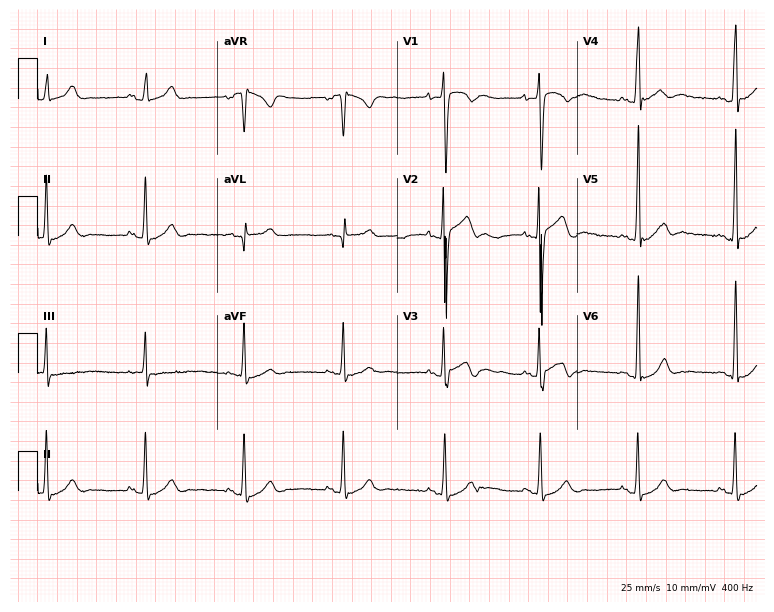
Standard 12-lead ECG recorded from an 18-year-old male. None of these six findings is recorded: first-degree AV block, right bundle branch block, left bundle branch block, sinus bradycardia, atrial fibrillation, sinus tachycardia. Findings outside these six are not listed.